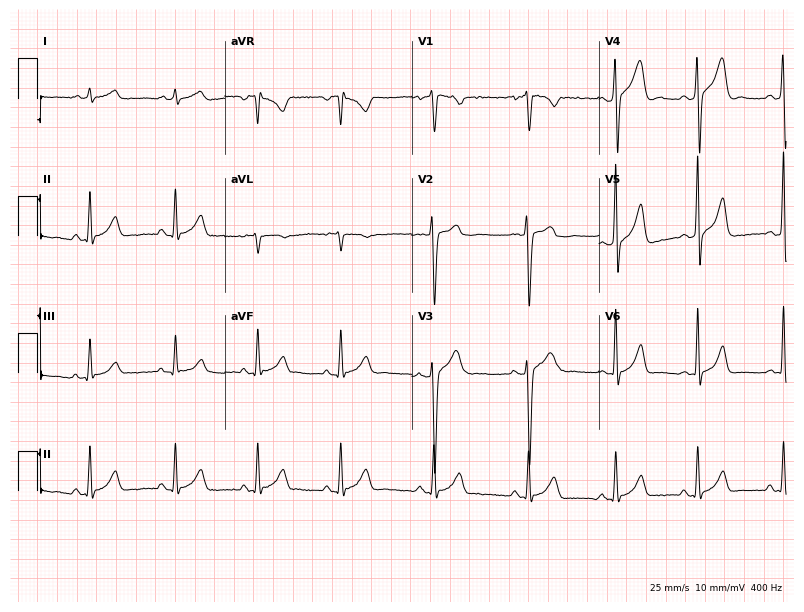
Standard 12-lead ECG recorded from a male, 18 years old. None of these six findings is recorded: first-degree AV block, right bundle branch block (RBBB), left bundle branch block (LBBB), sinus bradycardia, atrial fibrillation (AF), sinus tachycardia. Only these six findings were labelled.